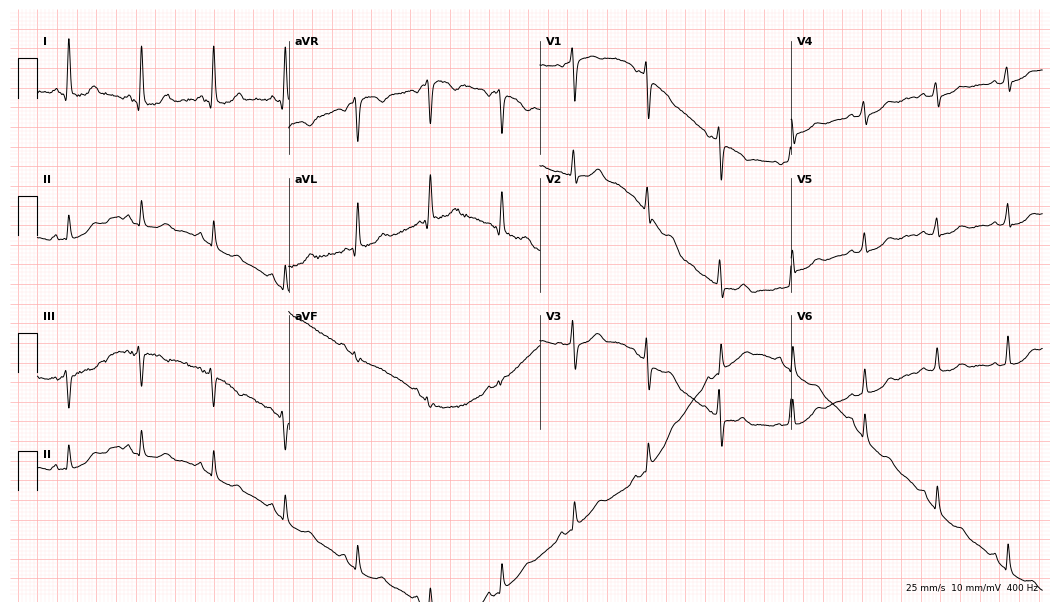
12-lead ECG (10.2-second recording at 400 Hz) from a female, 57 years old. Screened for six findings — first-degree AV block, right bundle branch block, left bundle branch block, sinus bradycardia, atrial fibrillation, sinus tachycardia — none is recorded.